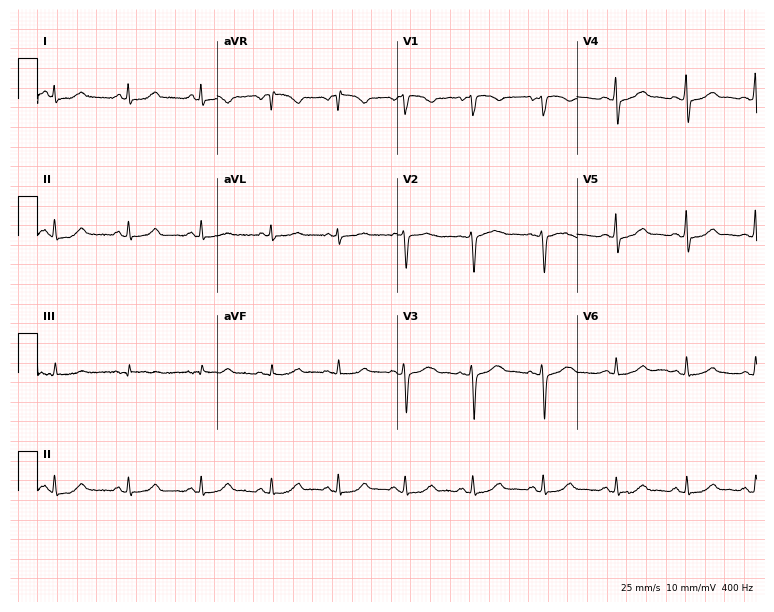
ECG — a woman, 40 years old. Labelled as a normal ECG.